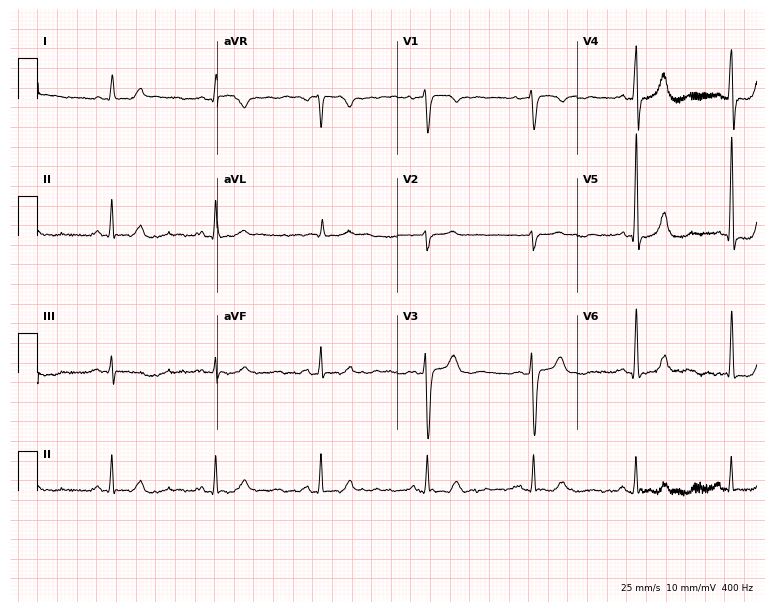
ECG — a 61-year-old female patient. Screened for six findings — first-degree AV block, right bundle branch block (RBBB), left bundle branch block (LBBB), sinus bradycardia, atrial fibrillation (AF), sinus tachycardia — none is recorded. Findings outside these six are not listed.